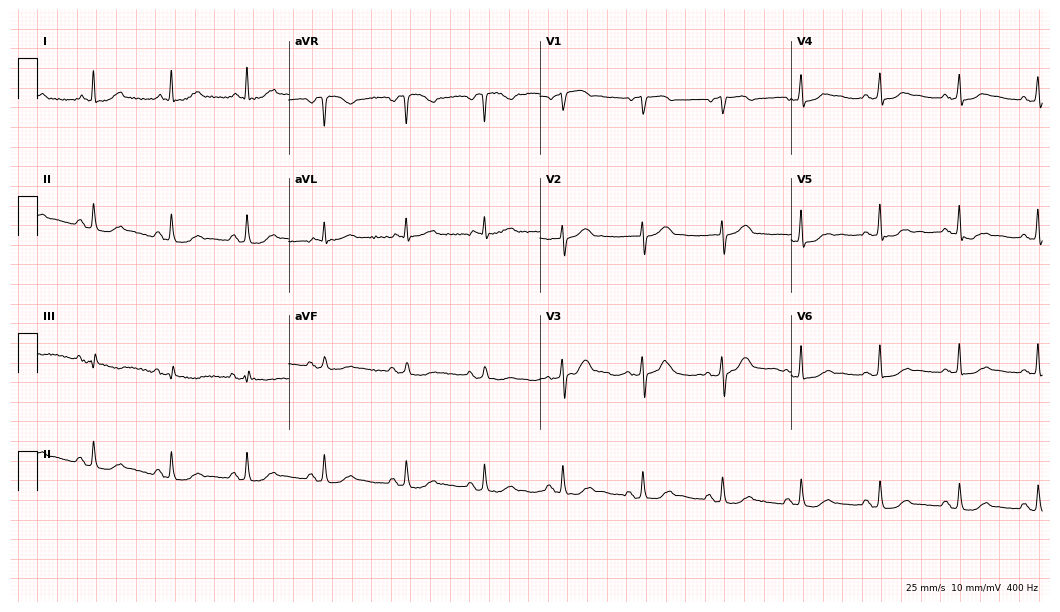
Standard 12-lead ECG recorded from a 73-year-old female patient. None of these six findings is recorded: first-degree AV block, right bundle branch block (RBBB), left bundle branch block (LBBB), sinus bradycardia, atrial fibrillation (AF), sinus tachycardia.